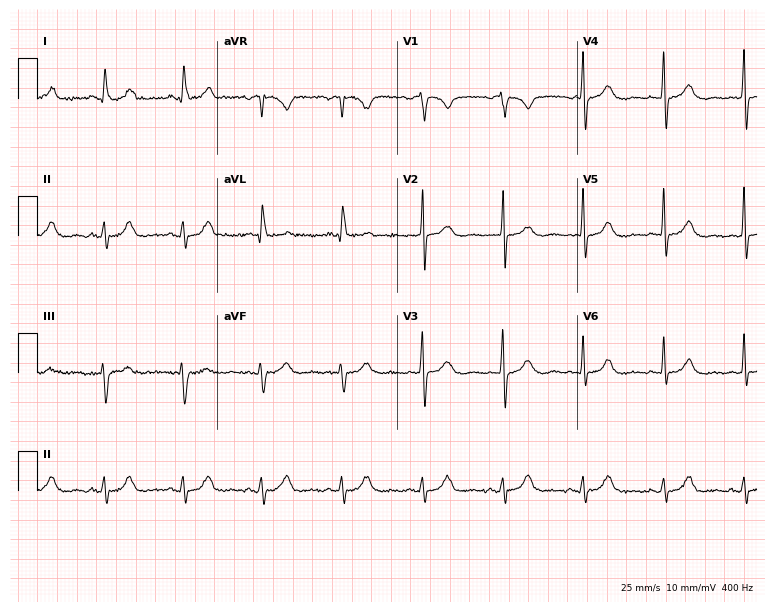
Resting 12-lead electrocardiogram. Patient: a female, 82 years old. None of these six findings is recorded: first-degree AV block, right bundle branch block, left bundle branch block, sinus bradycardia, atrial fibrillation, sinus tachycardia. Findings outside these six are not listed.